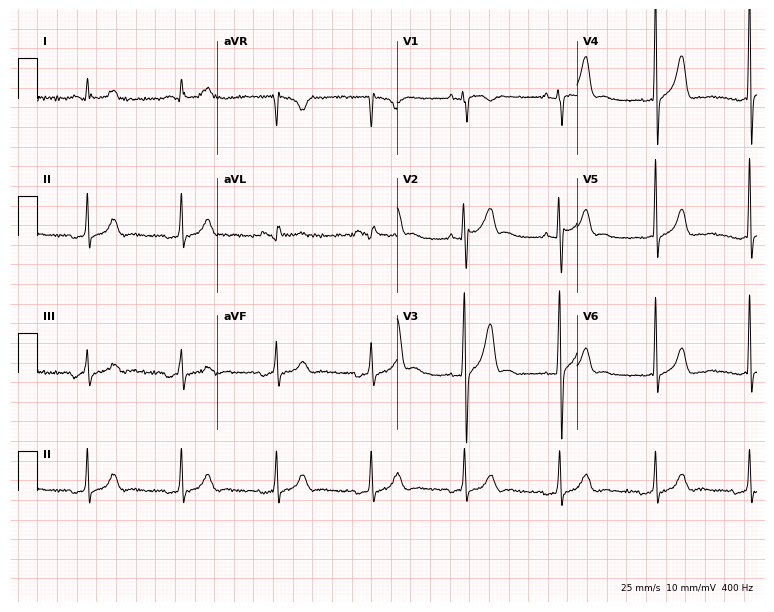
Electrocardiogram, a man, 65 years old. Of the six screened findings (first-degree AV block, right bundle branch block (RBBB), left bundle branch block (LBBB), sinus bradycardia, atrial fibrillation (AF), sinus tachycardia), none is recorded.